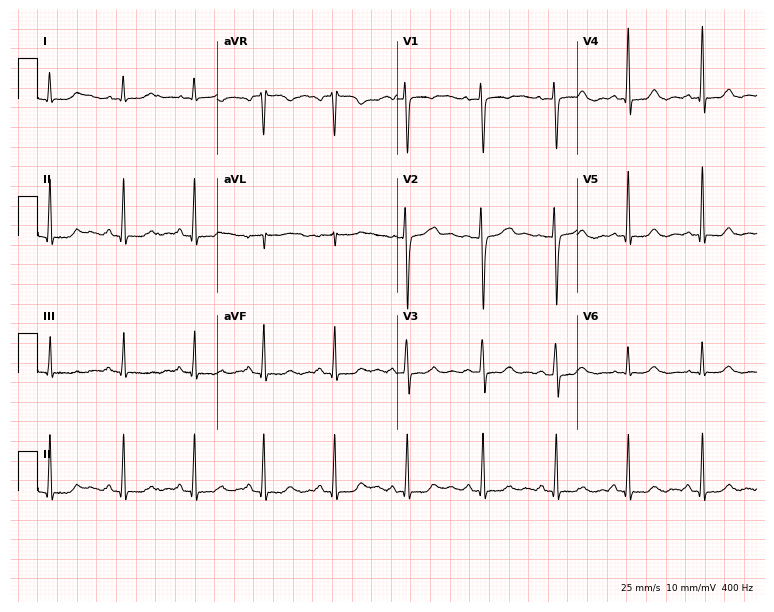
Standard 12-lead ECG recorded from a 42-year-old woman (7.3-second recording at 400 Hz). Read as a normal ECG.